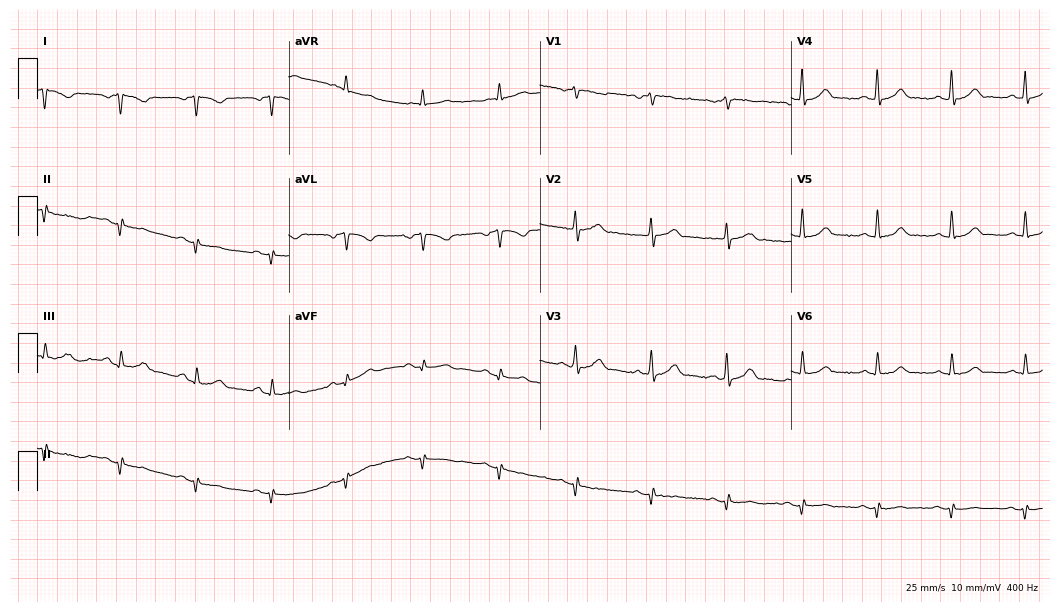
12-lead ECG from a 62-year-old man (10.2-second recording at 400 Hz). No first-degree AV block, right bundle branch block, left bundle branch block, sinus bradycardia, atrial fibrillation or sinus tachycardia recorded for this tracing.